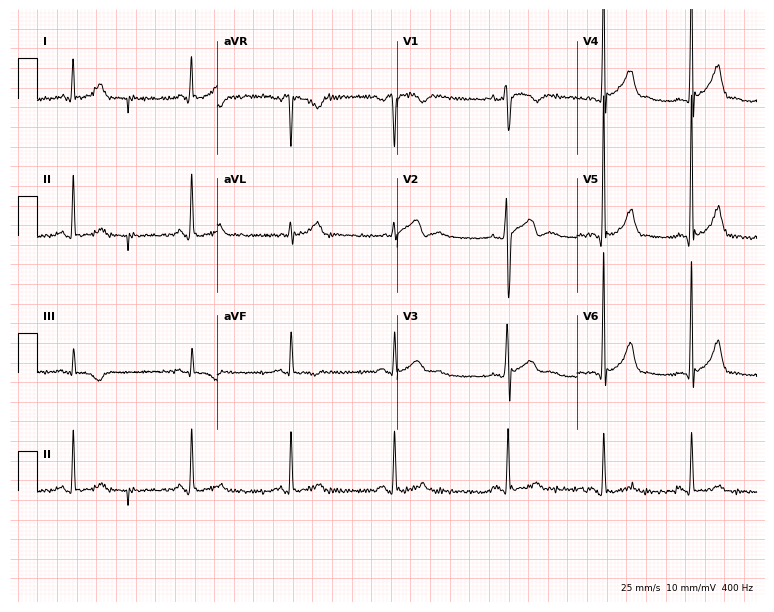
ECG (7.3-second recording at 400 Hz) — a male, 28 years old. Screened for six findings — first-degree AV block, right bundle branch block, left bundle branch block, sinus bradycardia, atrial fibrillation, sinus tachycardia — none is recorded.